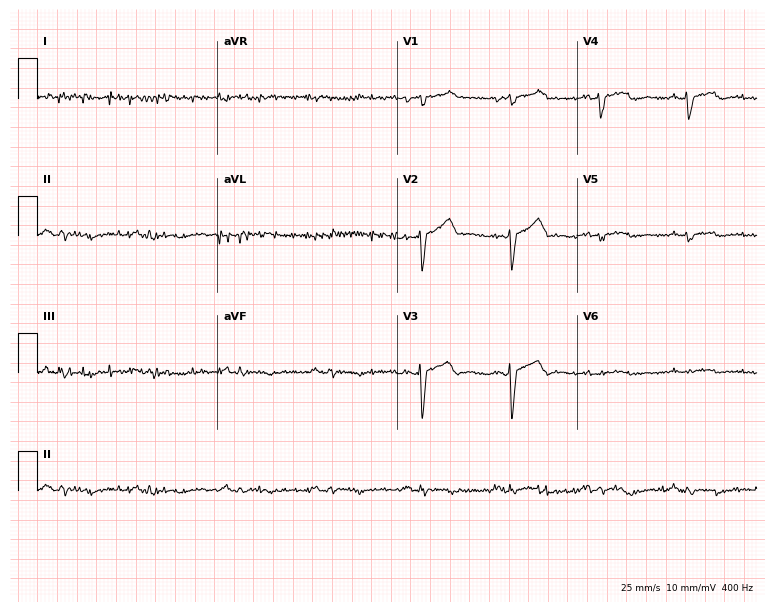
12-lead ECG (7.3-second recording at 400 Hz) from an 84-year-old man. Screened for six findings — first-degree AV block, right bundle branch block, left bundle branch block, sinus bradycardia, atrial fibrillation, sinus tachycardia — none is recorded.